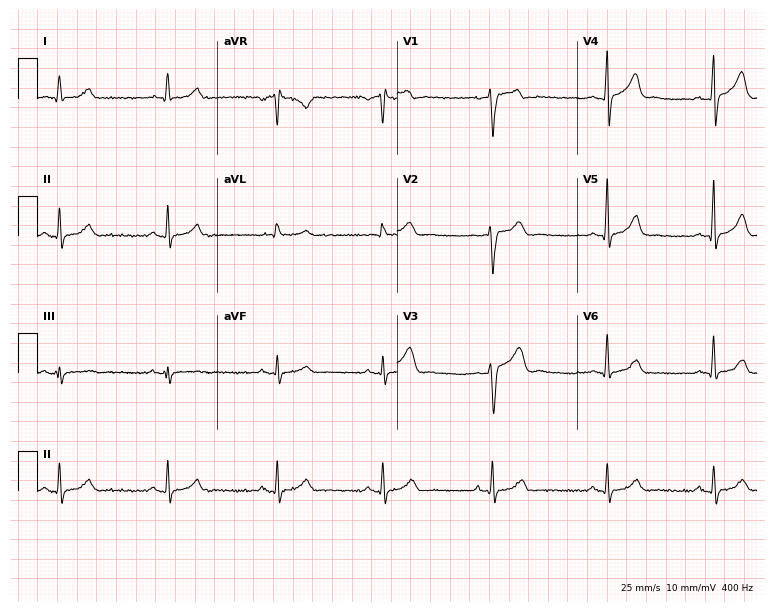
ECG — a male, 24 years old. Labelled as a normal ECG.